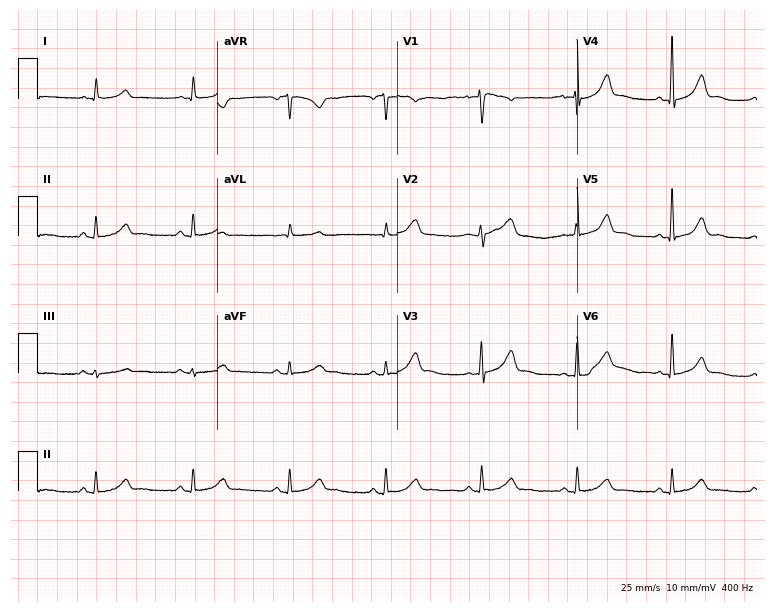
Resting 12-lead electrocardiogram (7.3-second recording at 400 Hz). Patient: a 42-year-old woman. None of these six findings is recorded: first-degree AV block, right bundle branch block, left bundle branch block, sinus bradycardia, atrial fibrillation, sinus tachycardia.